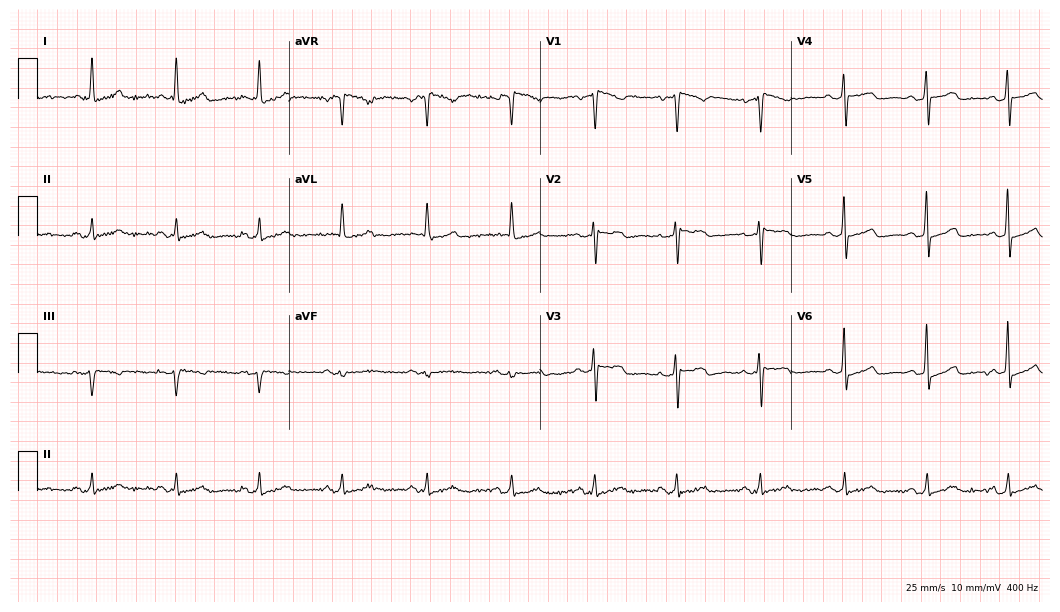
12-lead ECG (10.2-second recording at 400 Hz) from a female patient, 53 years old. Labelled as a normal ECG.